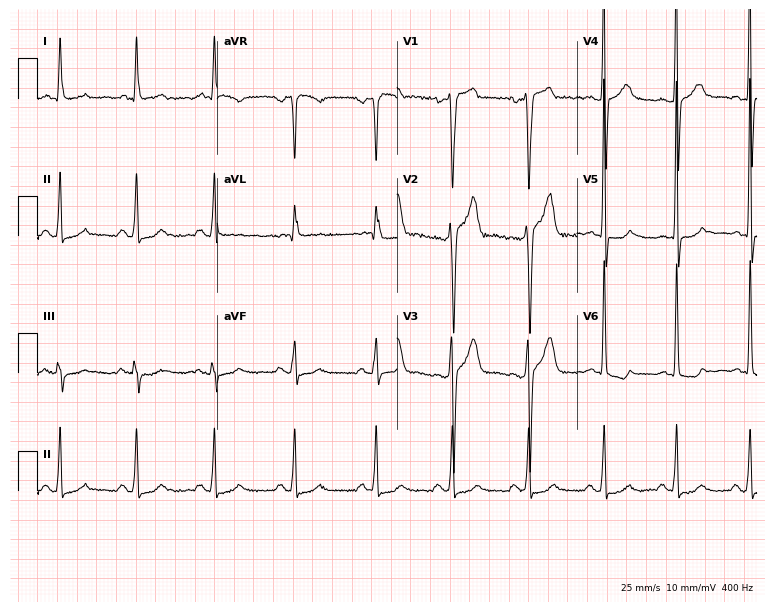
Electrocardiogram, a male patient, 38 years old. Overall reading on record: normal ECG.